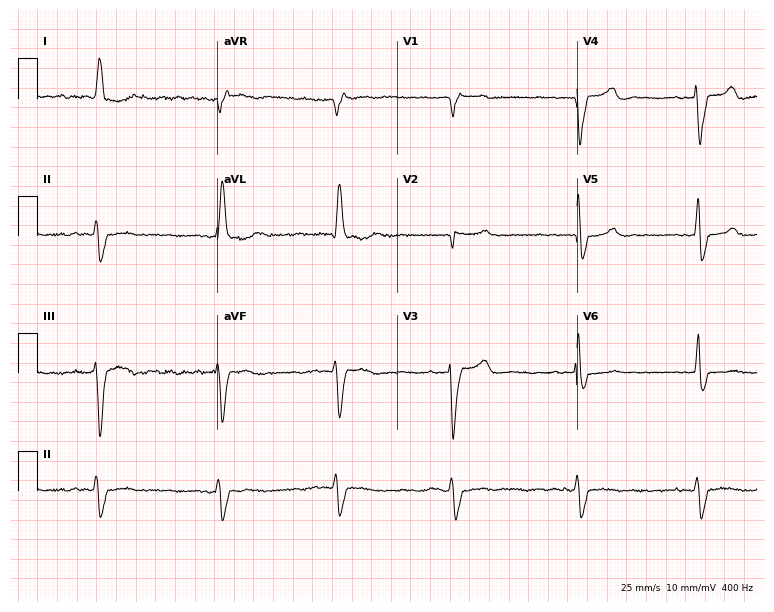
Standard 12-lead ECG recorded from a female patient, 87 years old. None of these six findings is recorded: first-degree AV block, right bundle branch block, left bundle branch block, sinus bradycardia, atrial fibrillation, sinus tachycardia. Findings outside these six are not listed.